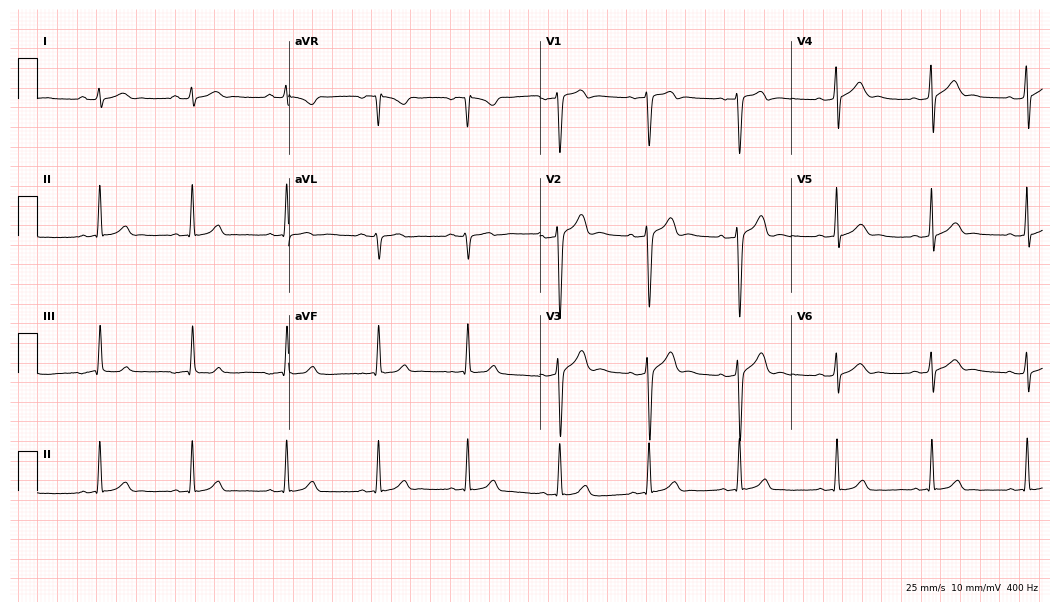
12-lead ECG from a male, 28 years old. Labelled as a normal ECG.